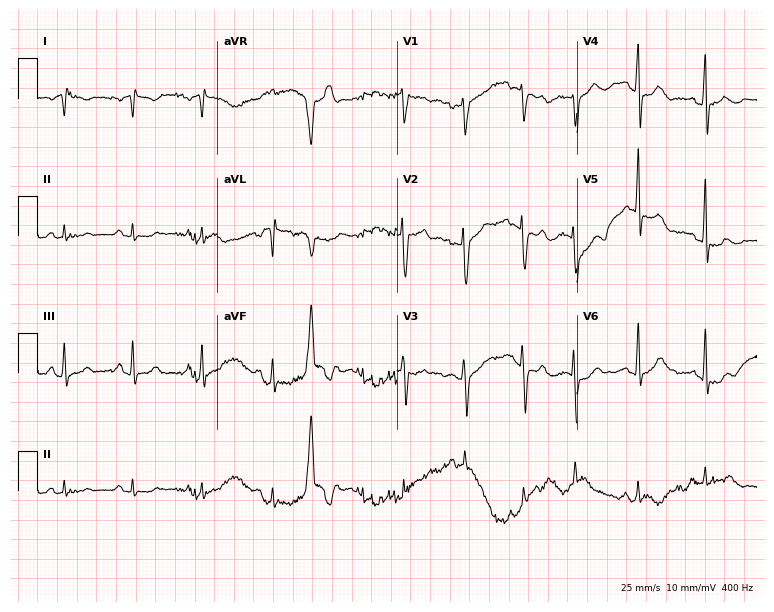
12-lead ECG from a female patient, 36 years old. Screened for six findings — first-degree AV block, right bundle branch block, left bundle branch block, sinus bradycardia, atrial fibrillation, sinus tachycardia — none is recorded. Only these six findings were labelled.